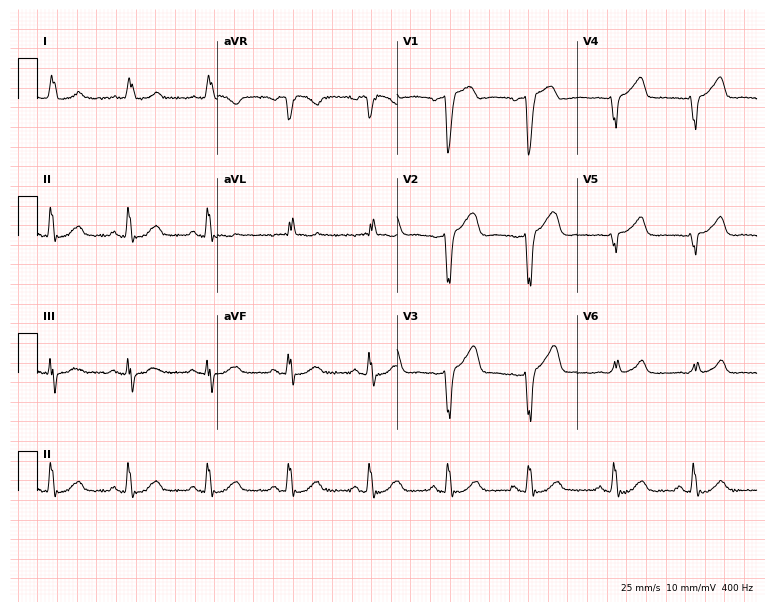
12-lead ECG (7.3-second recording at 400 Hz) from a 63-year-old female patient. Screened for six findings — first-degree AV block, right bundle branch block, left bundle branch block, sinus bradycardia, atrial fibrillation, sinus tachycardia — none is recorded. Only these six findings were labelled.